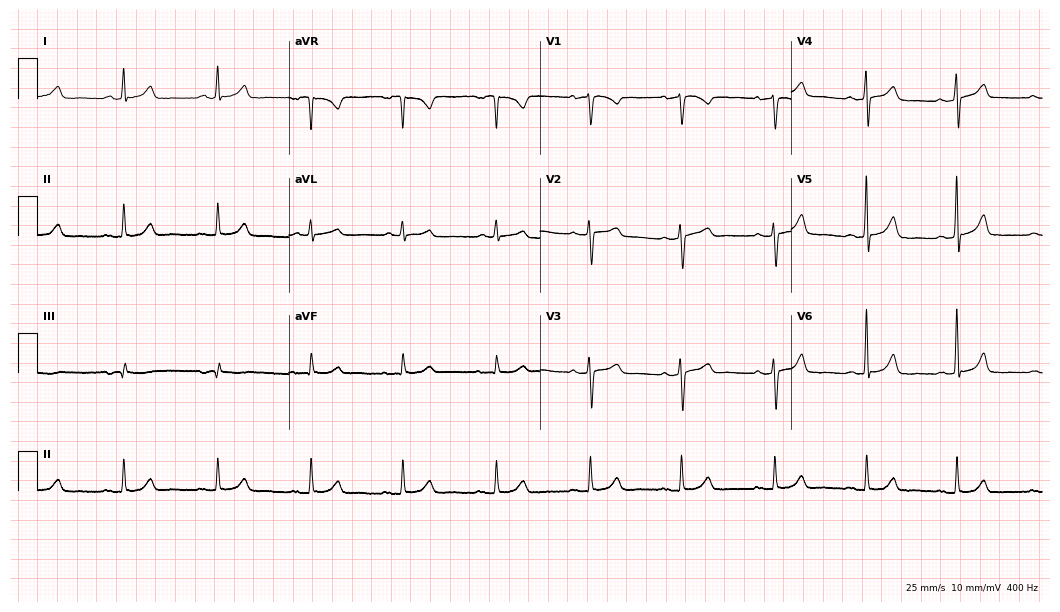
Standard 12-lead ECG recorded from a female patient, 60 years old (10.2-second recording at 400 Hz). Read as a normal ECG.